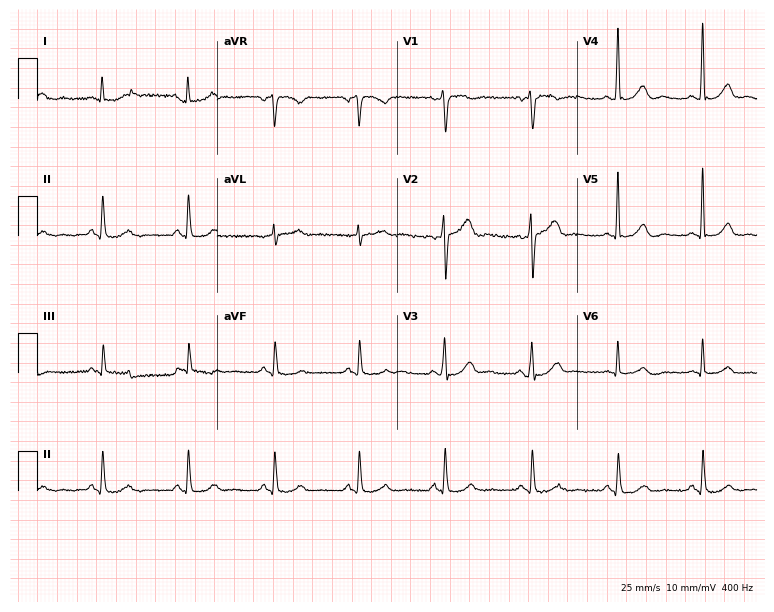
ECG (7.3-second recording at 400 Hz) — a 60-year-old male patient. Labelled as a normal ECG.